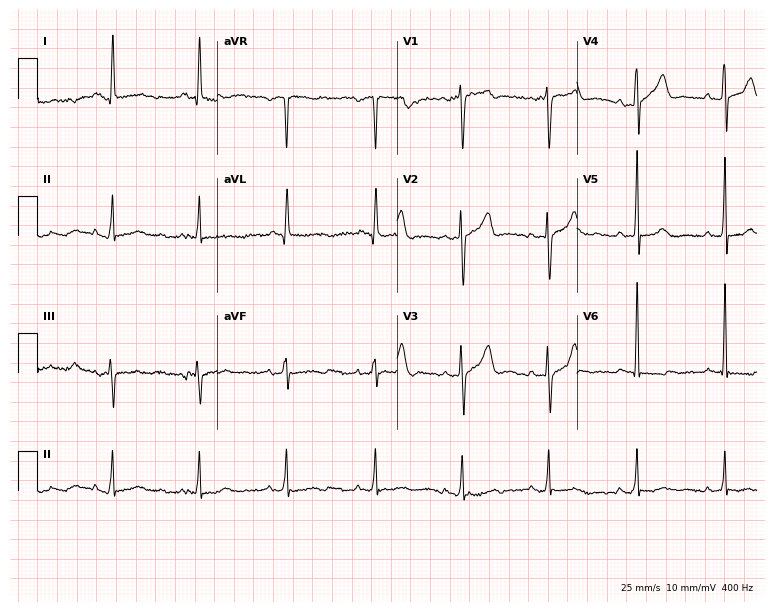
12-lead ECG from a 55-year-old male. Screened for six findings — first-degree AV block, right bundle branch block, left bundle branch block, sinus bradycardia, atrial fibrillation, sinus tachycardia — none is recorded. Other findings, if any, are not listed.